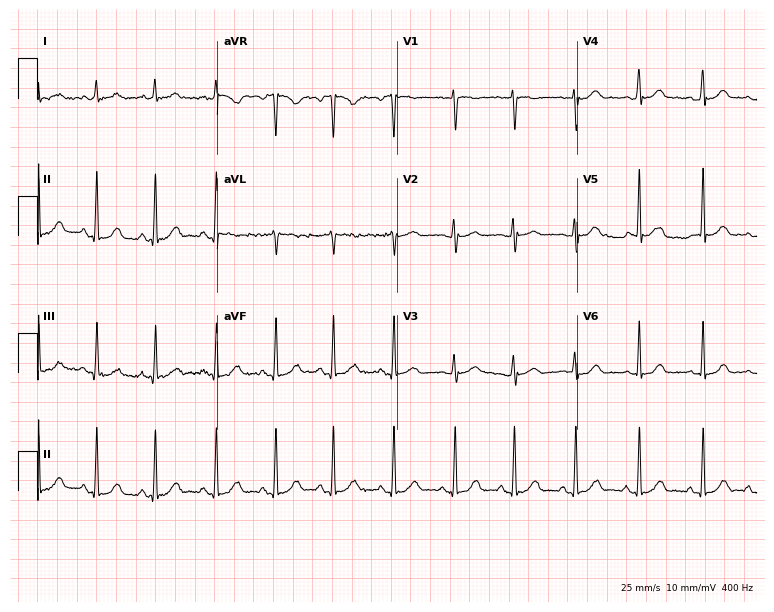
Electrocardiogram (7.3-second recording at 400 Hz), a 25-year-old female patient. Overall reading on record: normal ECG.